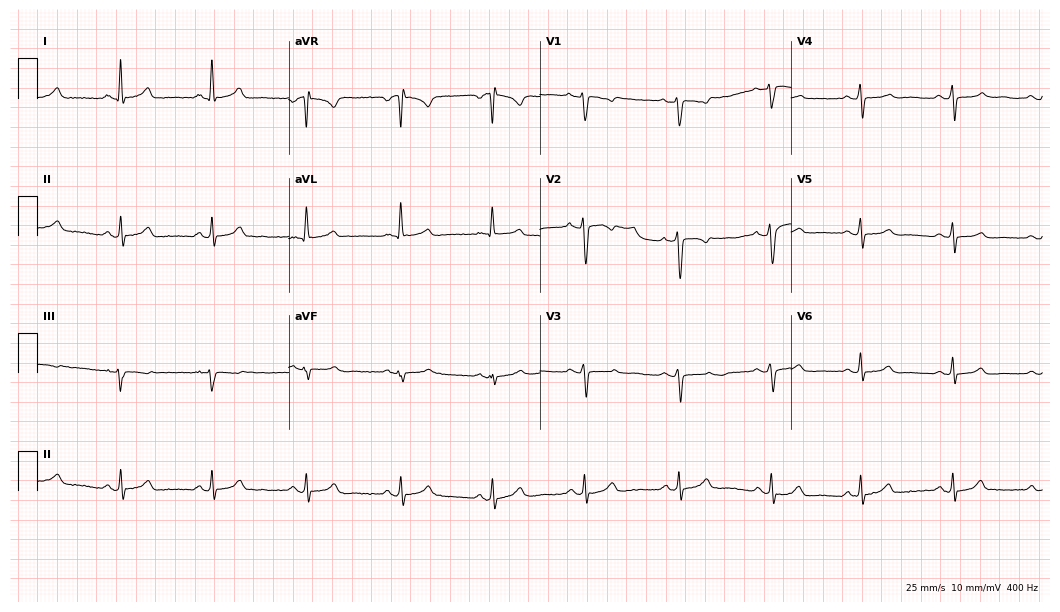
Electrocardiogram, a 60-year-old female. Overall reading on record: normal ECG.